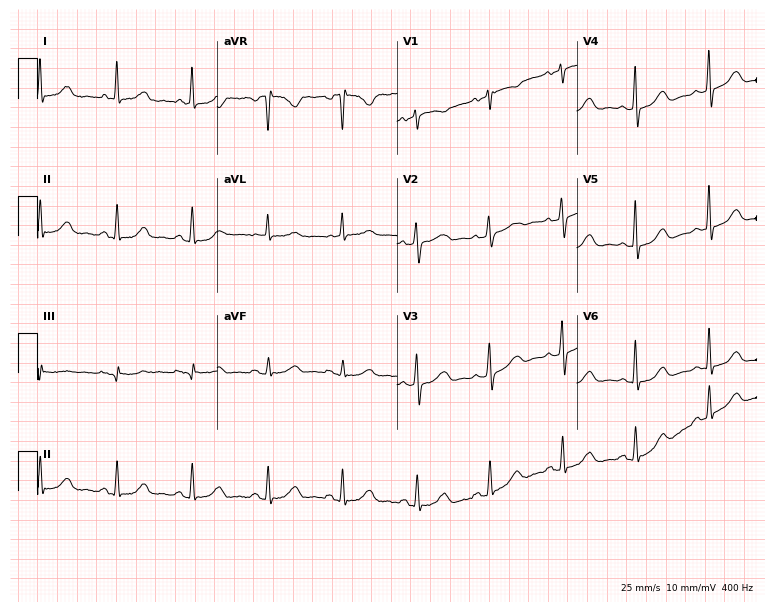
Electrocardiogram, a 45-year-old woman. Of the six screened findings (first-degree AV block, right bundle branch block, left bundle branch block, sinus bradycardia, atrial fibrillation, sinus tachycardia), none is recorded.